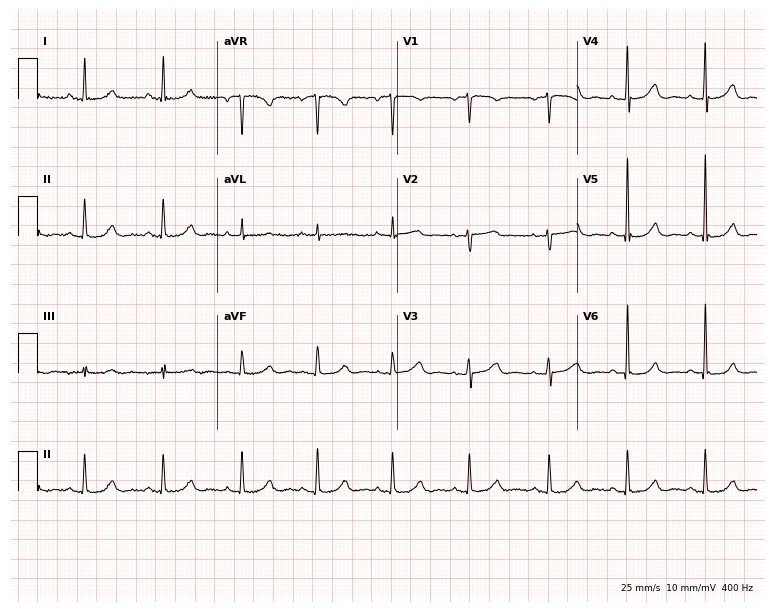
Standard 12-lead ECG recorded from a 74-year-old female (7.3-second recording at 400 Hz). None of these six findings is recorded: first-degree AV block, right bundle branch block, left bundle branch block, sinus bradycardia, atrial fibrillation, sinus tachycardia.